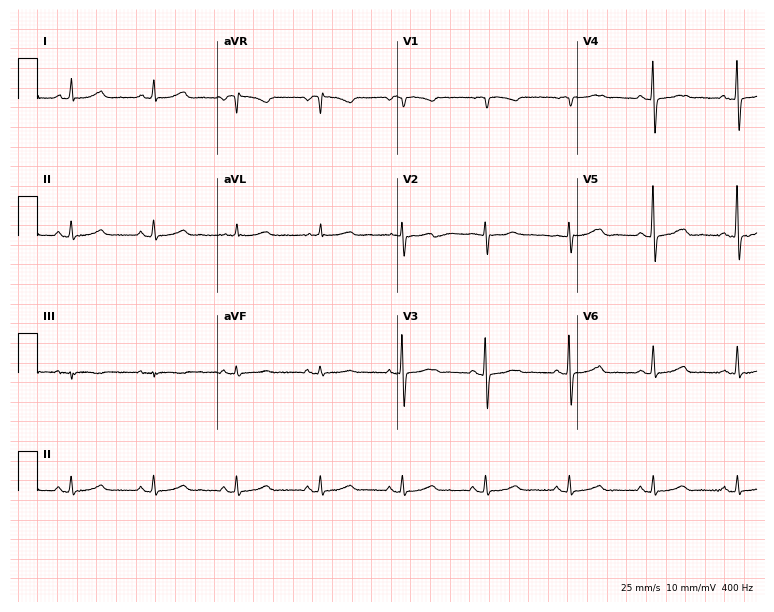
Standard 12-lead ECG recorded from a 76-year-old woman. Read as a normal ECG.